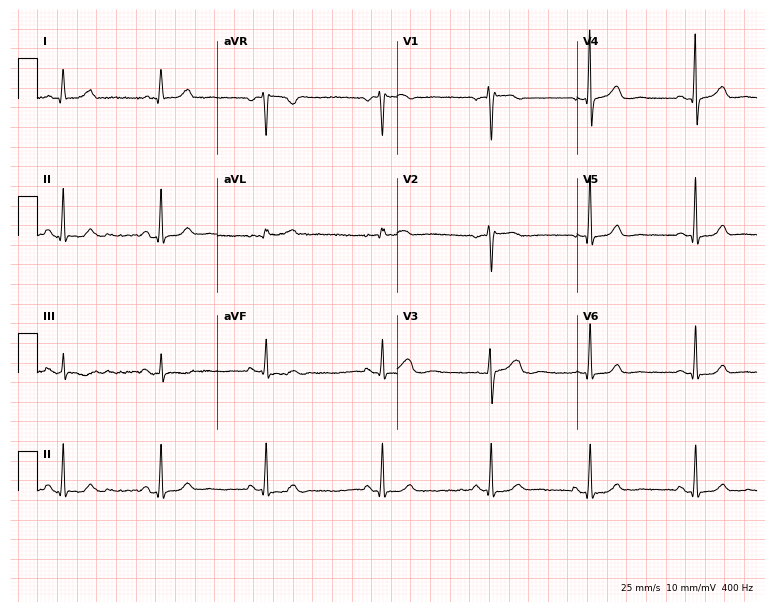
Electrocardiogram, a 50-year-old female. Overall reading on record: normal ECG.